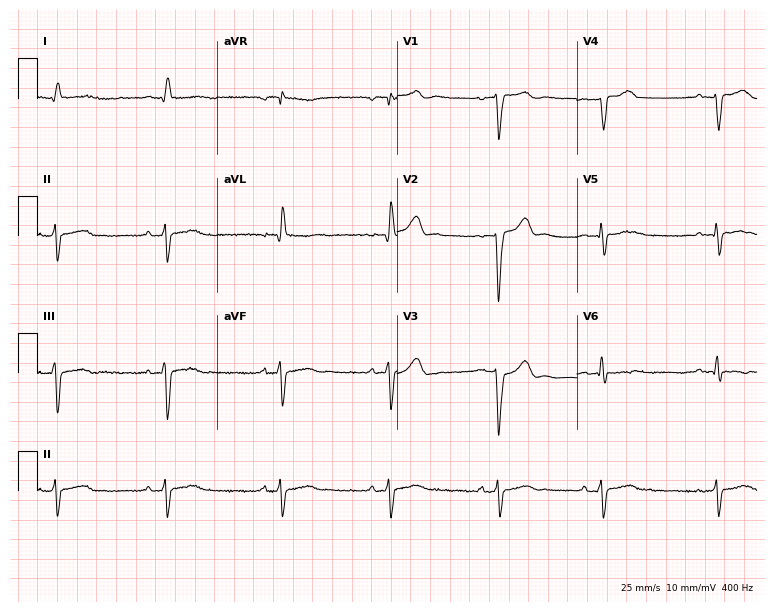
ECG (7.3-second recording at 400 Hz) — a female, 35 years old. Screened for six findings — first-degree AV block, right bundle branch block (RBBB), left bundle branch block (LBBB), sinus bradycardia, atrial fibrillation (AF), sinus tachycardia — none is recorded.